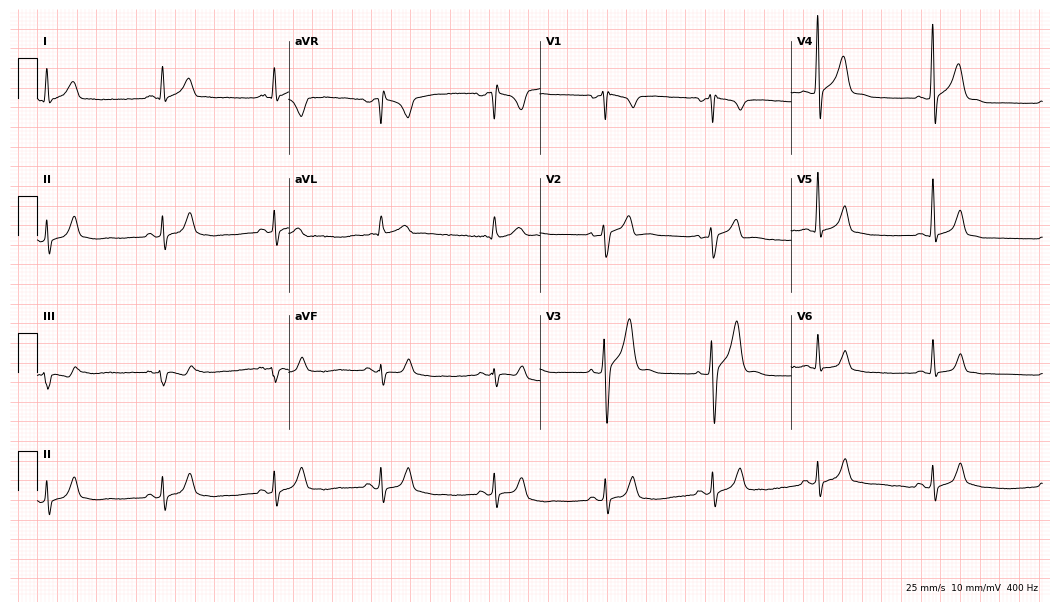
Resting 12-lead electrocardiogram (10.2-second recording at 400 Hz). Patient: a male, 30 years old. None of these six findings is recorded: first-degree AV block, right bundle branch block (RBBB), left bundle branch block (LBBB), sinus bradycardia, atrial fibrillation (AF), sinus tachycardia. Findings outside these six are not listed.